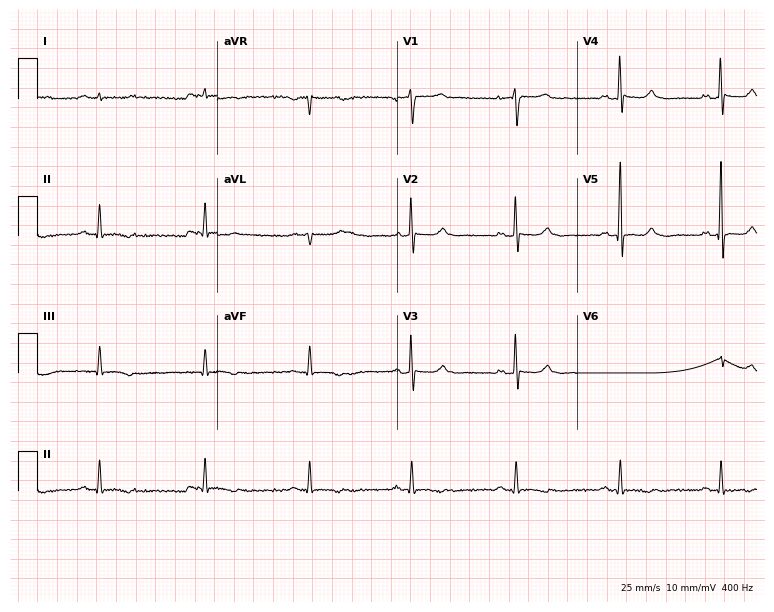
12-lead ECG from a female patient, 37 years old. Screened for six findings — first-degree AV block, right bundle branch block, left bundle branch block, sinus bradycardia, atrial fibrillation, sinus tachycardia — none is recorded. Only these six findings were labelled.